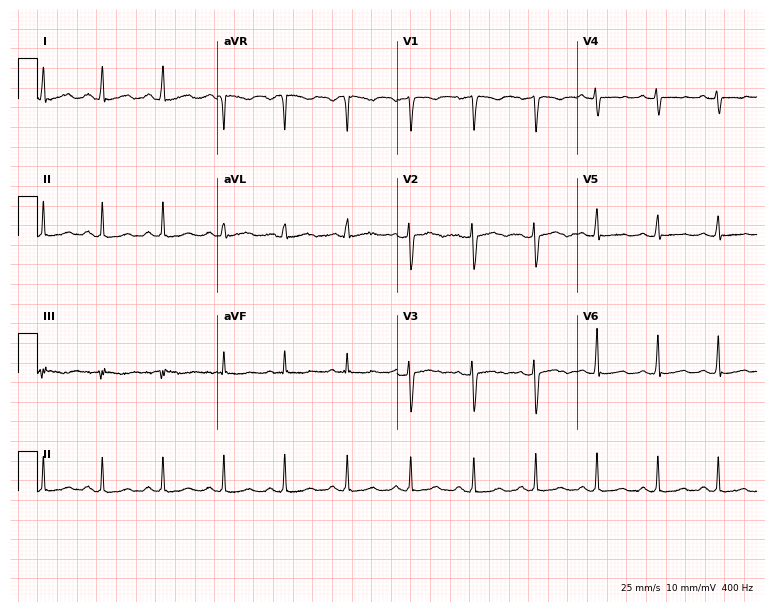
Resting 12-lead electrocardiogram (7.3-second recording at 400 Hz). Patient: a female, 38 years old. Read as a normal ECG.